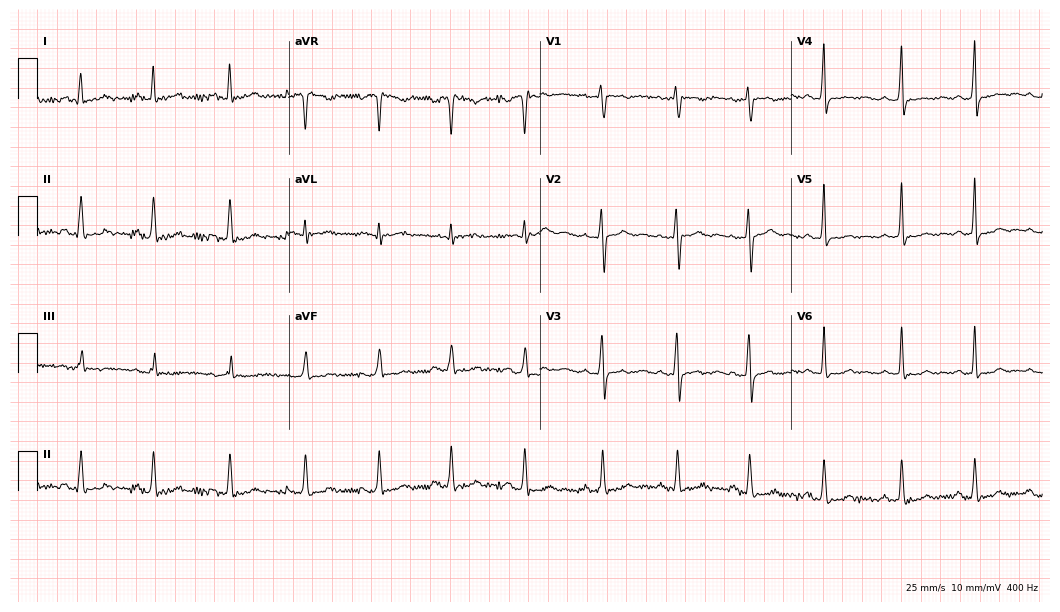
ECG — a male patient, 38 years old. Screened for six findings — first-degree AV block, right bundle branch block, left bundle branch block, sinus bradycardia, atrial fibrillation, sinus tachycardia — none is recorded.